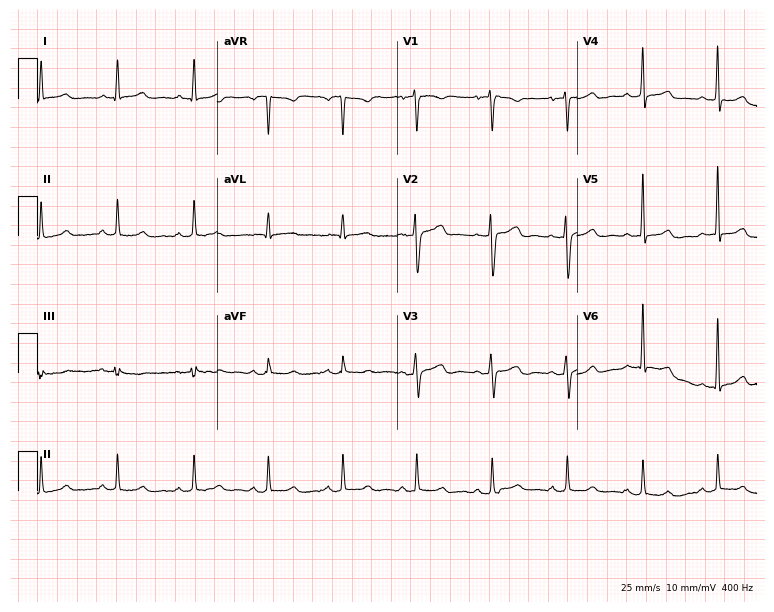
ECG (7.3-second recording at 400 Hz) — a 53-year-old female. Labelled as a normal ECG.